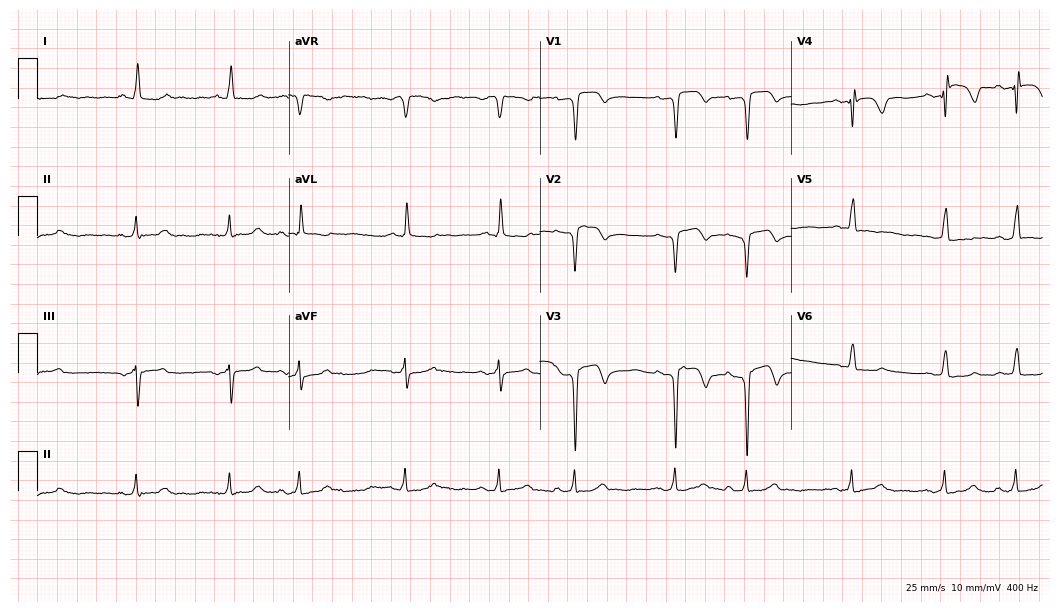
ECG (10.2-second recording at 400 Hz) — a man, 76 years old. Screened for six findings — first-degree AV block, right bundle branch block, left bundle branch block, sinus bradycardia, atrial fibrillation, sinus tachycardia — none is recorded.